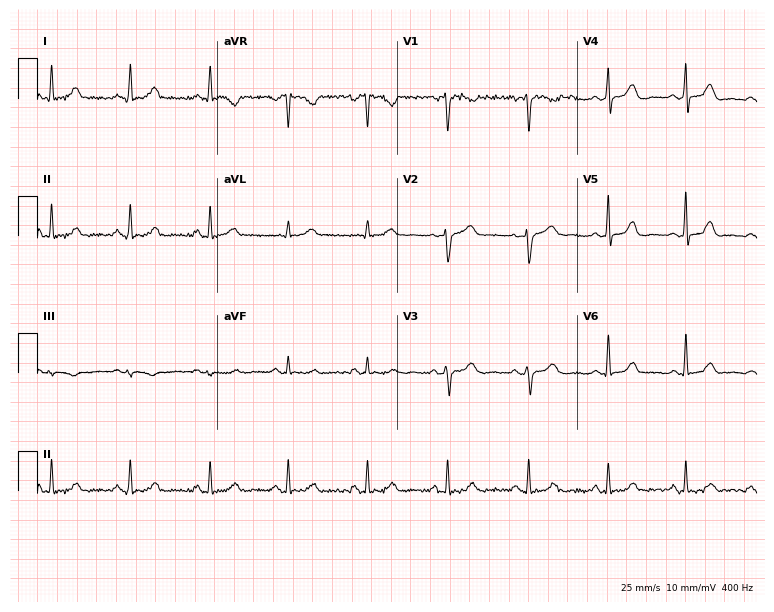
ECG (7.3-second recording at 400 Hz) — a woman, 44 years old. Labelled as a normal ECG.